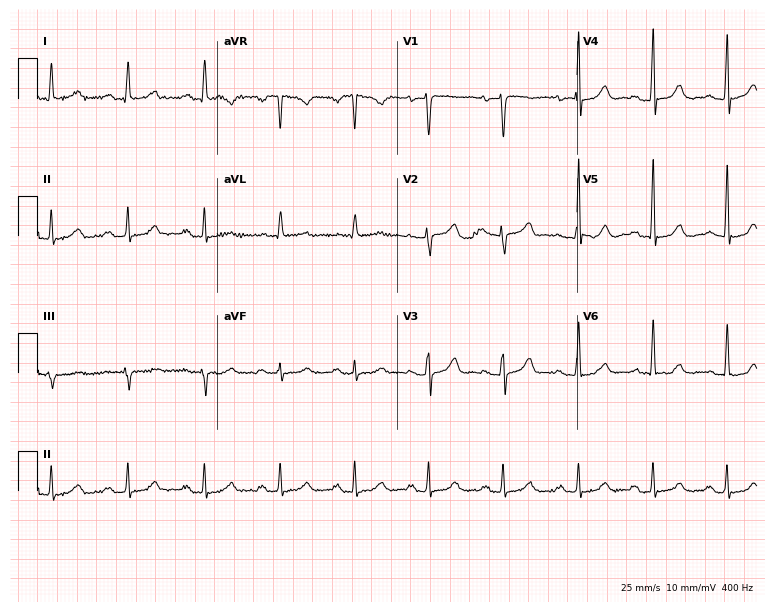
12-lead ECG from a female, 55 years old. Recorded interpretation: within normal limits.